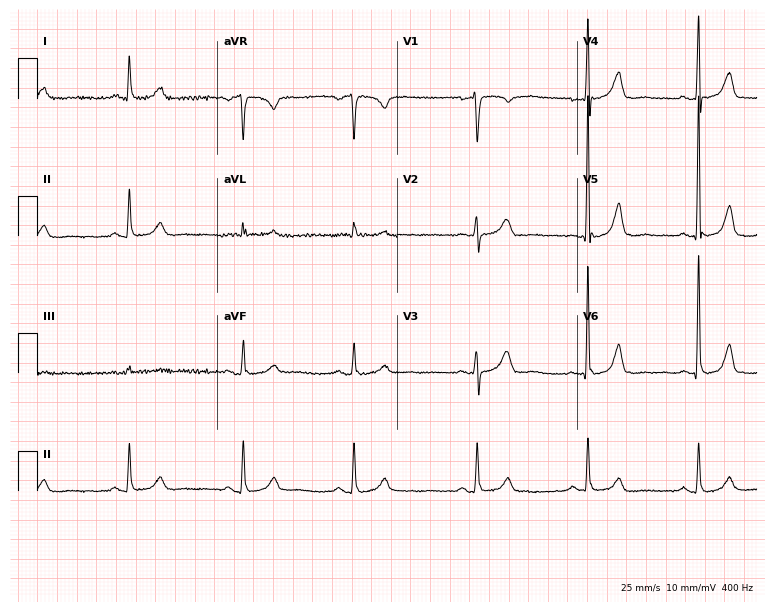
12-lead ECG from a 64-year-old male patient. Screened for six findings — first-degree AV block, right bundle branch block, left bundle branch block, sinus bradycardia, atrial fibrillation, sinus tachycardia — none is recorded. Only these six findings were labelled.